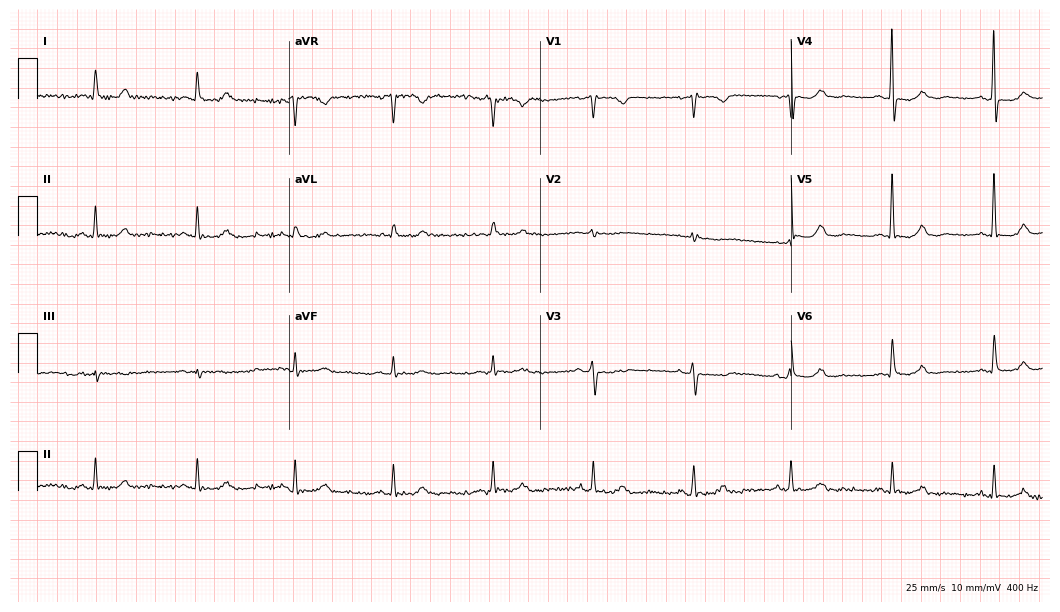
ECG (10.2-second recording at 400 Hz) — a 75-year-old woman. Screened for six findings — first-degree AV block, right bundle branch block (RBBB), left bundle branch block (LBBB), sinus bradycardia, atrial fibrillation (AF), sinus tachycardia — none is recorded.